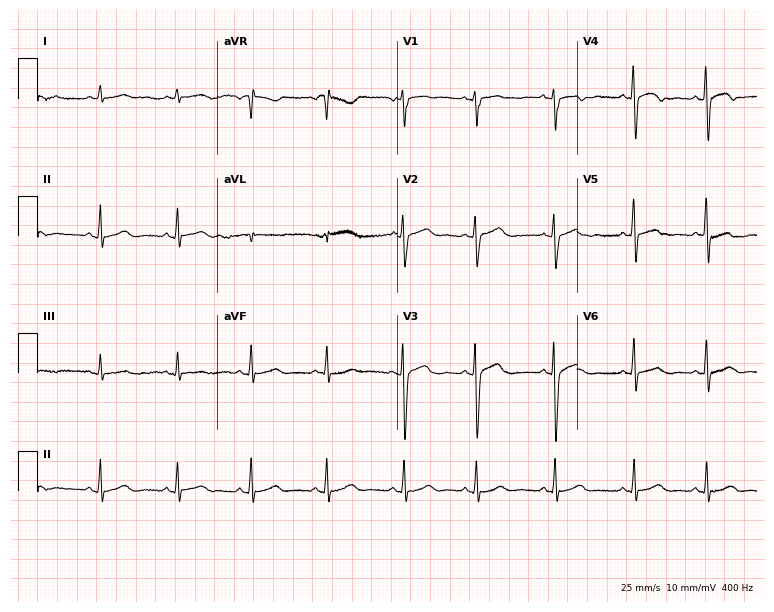
Resting 12-lead electrocardiogram. Patient: a female, 17 years old. Read as a normal ECG.